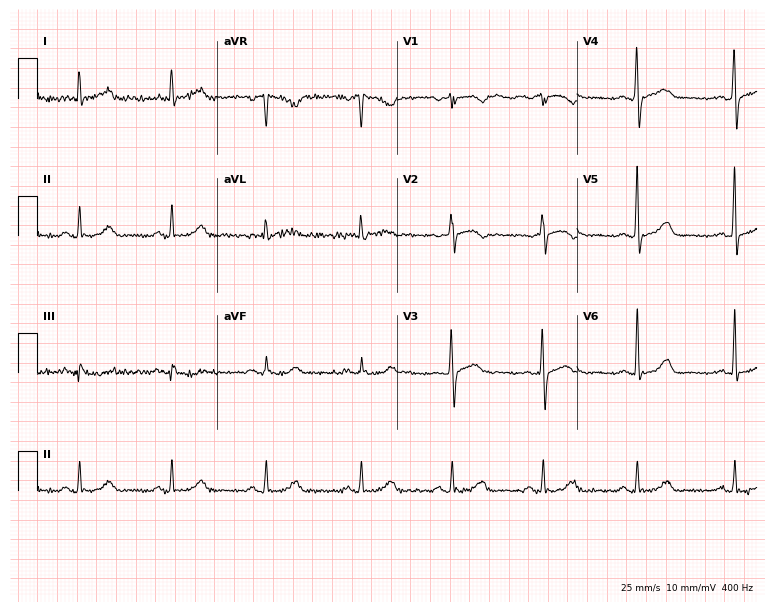
Standard 12-lead ECG recorded from a 56-year-old woman. Read as a normal ECG.